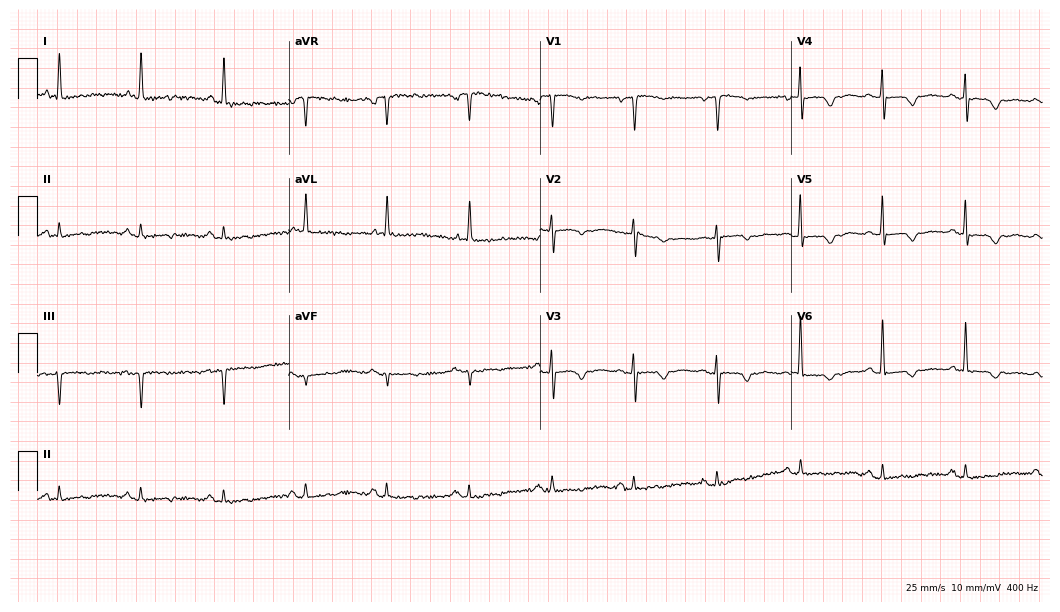
Standard 12-lead ECG recorded from an 85-year-old female patient (10.2-second recording at 400 Hz). None of these six findings is recorded: first-degree AV block, right bundle branch block, left bundle branch block, sinus bradycardia, atrial fibrillation, sinus tachycardia. Only these six findings were labelled.